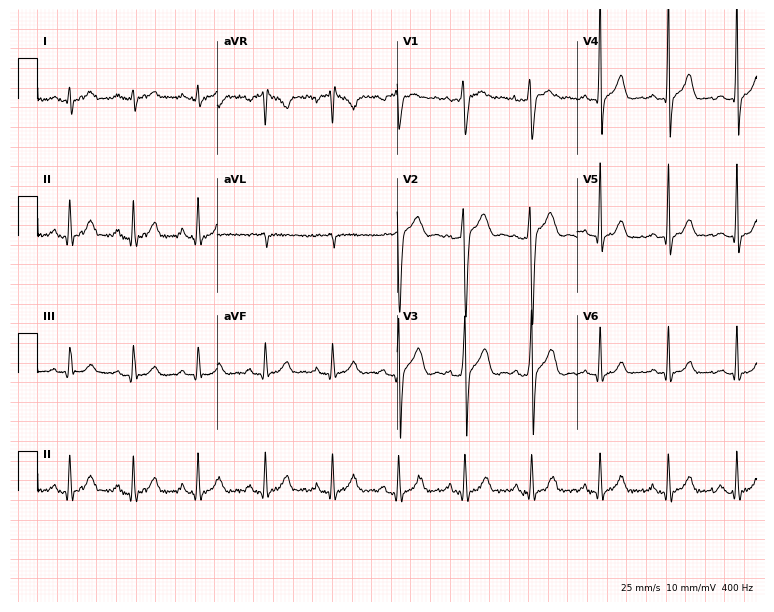
12-lead ECG from a male, 31 years old. No first-degree AV block, right bundle branch block, left bundle branch block, sinus bradycardia, atrial fibrillation or sinus tachycardia recorded for this tracing.